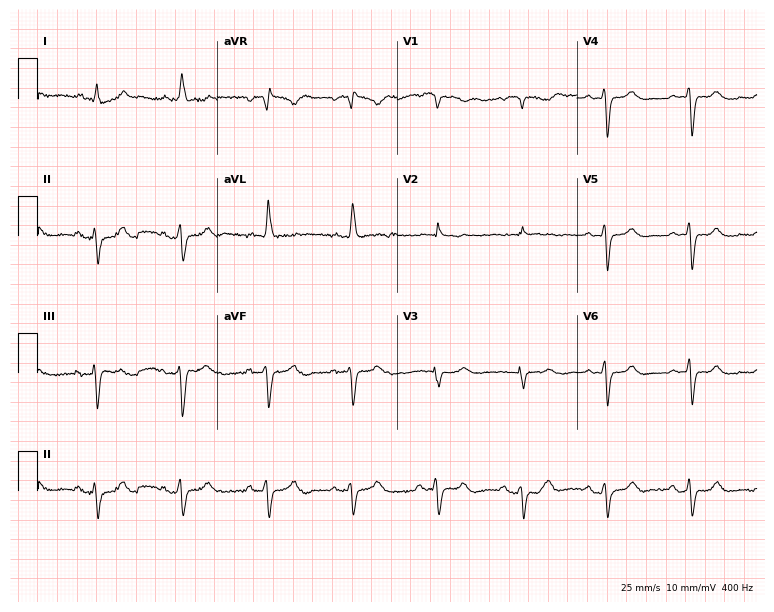
Resting 12-lead electrocardiogram (7.3-second recording at 400 Hz). Patient: an 83-year-old female. None of these six findings is recorded: first-degree AV block, right bundle branch block, left bundle branch block, sinus bradycardia, atrial fibrillation, sinus tachycardia.